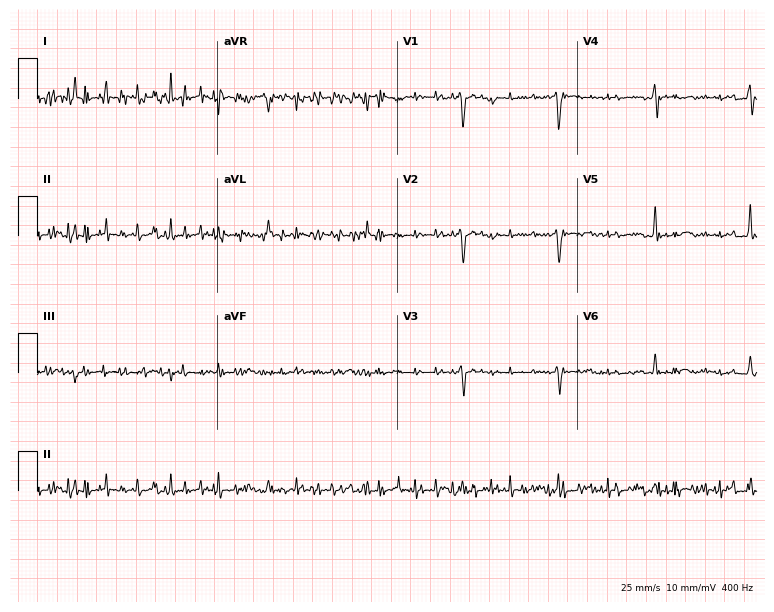
Standard 12-lead ECG recorded from a 55-year-old female patient. None of these six findings is recorded: first-degree AV block, right bundle branch block, left bundle branch block, sinus bradycardia, atrial fibrillation, sinus tachycardia. Other findings, if any, are not listed.